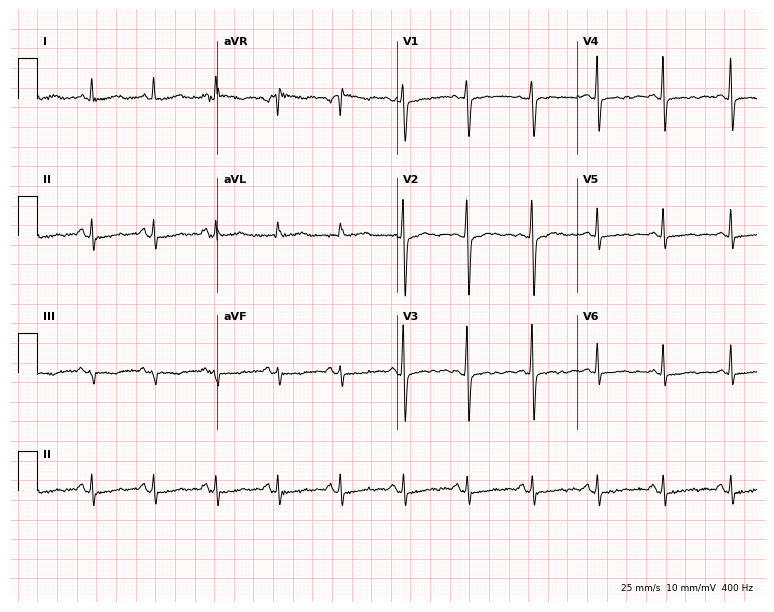
12-lead ECG (7.3-second recording at 400 Hz) from a 51-year-old woman. Screened for six findings — first-degree AV block, right bundle branch block, left bundle branch block, sinus bradycardia, atrial fibrillation, sinus tachycardia — none is recorded.